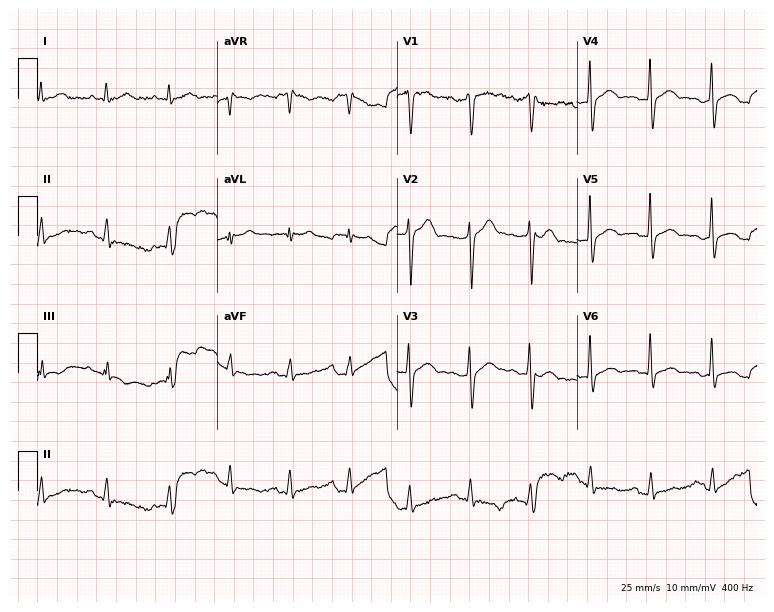
Standard 12-lead ECG recorded from a 40-year-old woman. Read as a normal ECG.